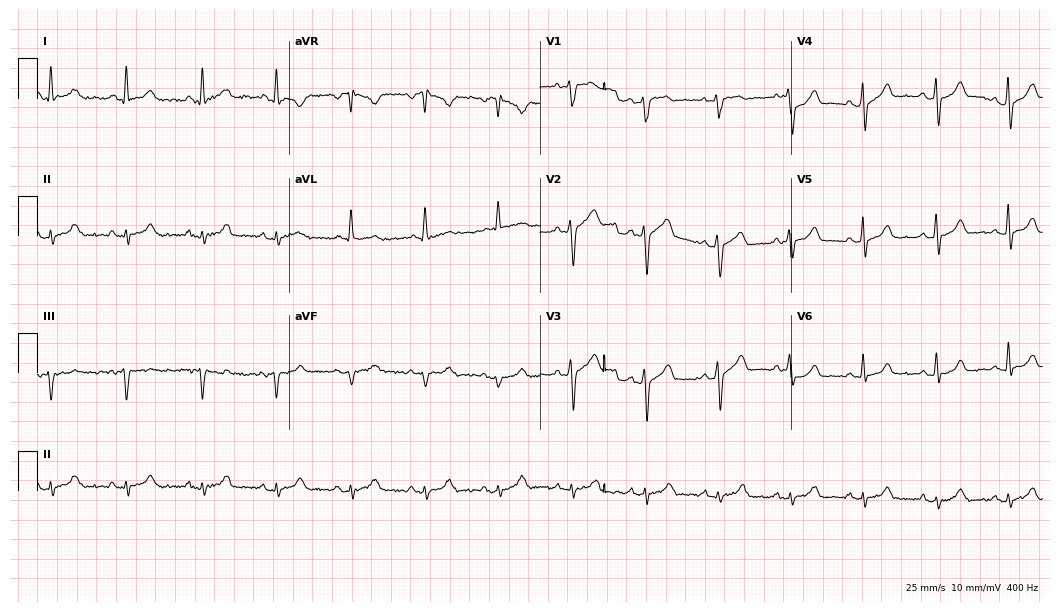
12-lead ECG from a 43-year-old man (10.2-second recording at 400 Hz). Recorded interpretation: within normal limits.